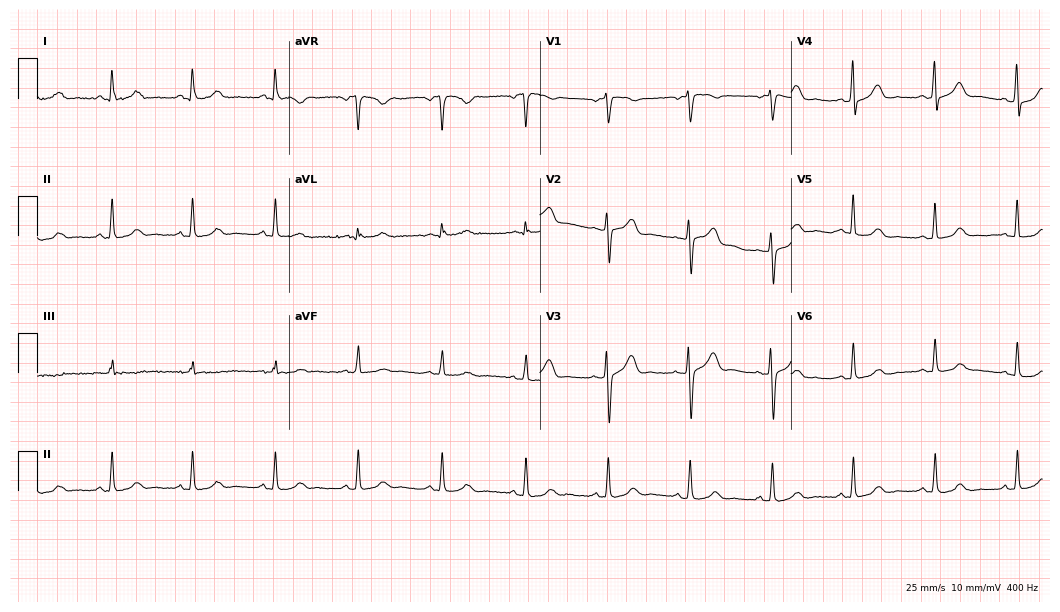
Standard 12-lead ECG recorded from a female patient, 60 years old. Read as a normal ECG.